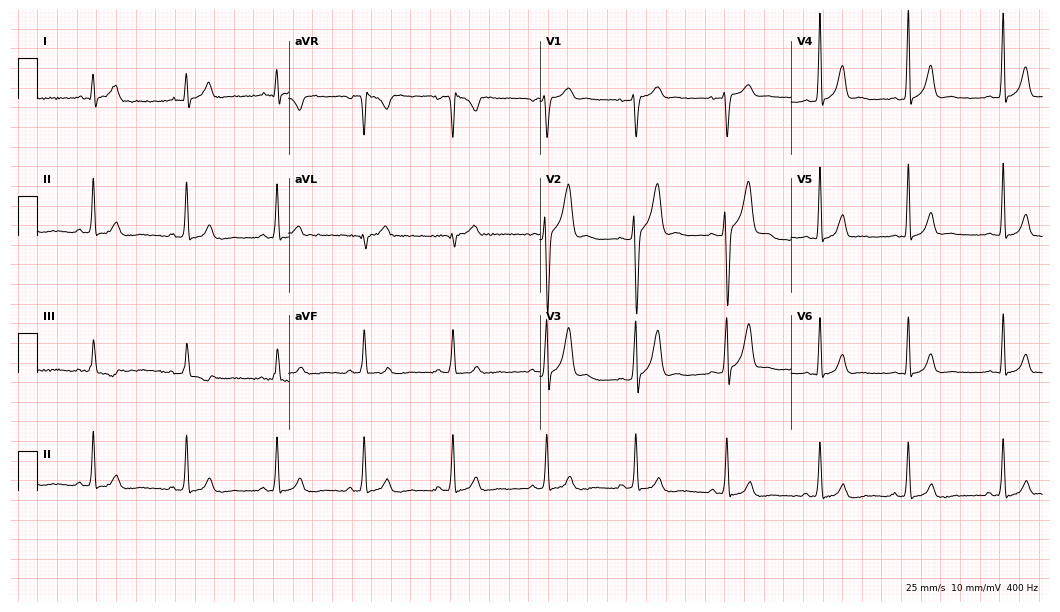
Electrocardiogram, a 21-year-old male. Overall reading on record: normal ECG.